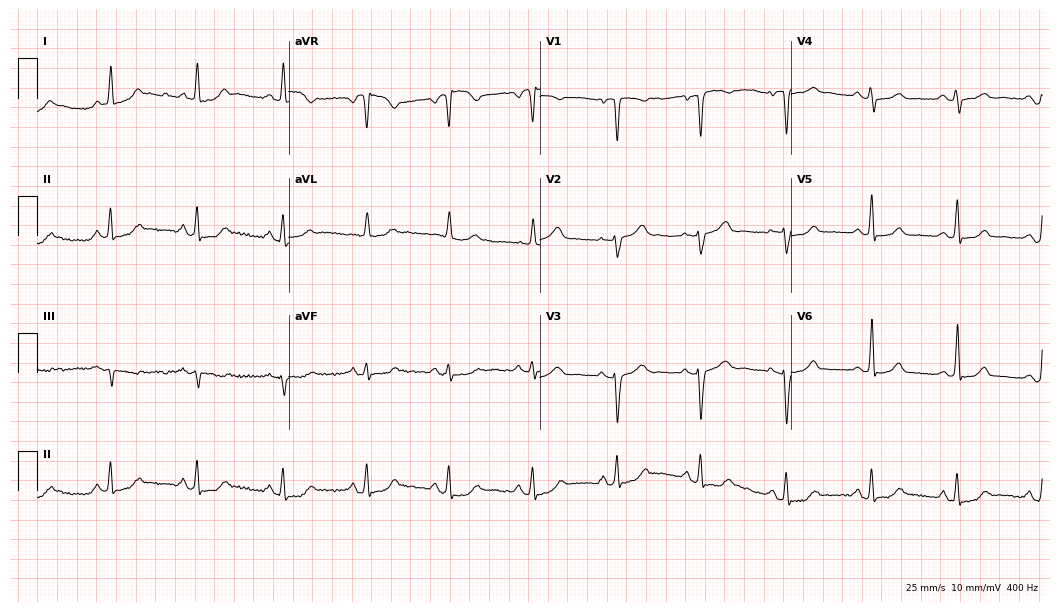
Standard 12-lead ECG recorded from a 56-year-old female (10.2-second recording at 400 Hz). Read as a normal ECG.